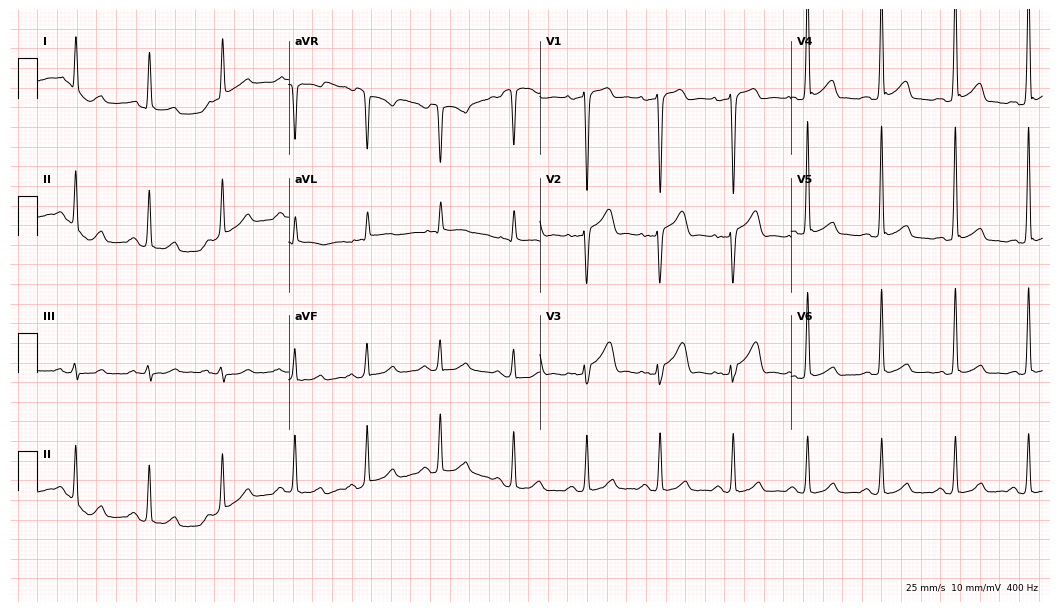
12-lead ECG from a 53-year-old man. Screened for six findings — first-degree AV block, right bundle branch block, left bundle branch block, sinus bradycardia, atrial fibrillation, sinus tachycardia — none is recorded. Only these six findings were labelled.